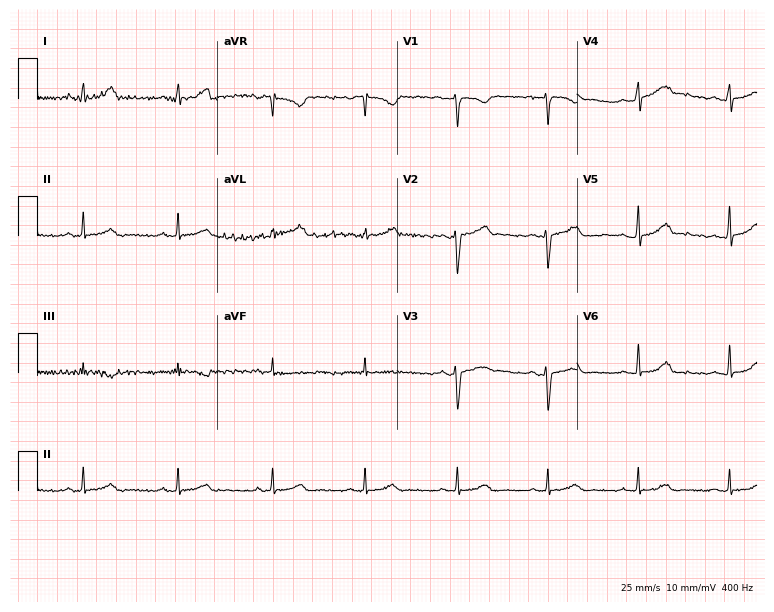
12-lead ECG from a female patient, 24 years old (7.3-second recording at 400 Hz). No first-degree AV block, right bundle branch block, left bundle branch block, sinus bradycardia, atrial fibrillation or sinus tachycardia recorded for this tracing. Only these six findings were labelled.